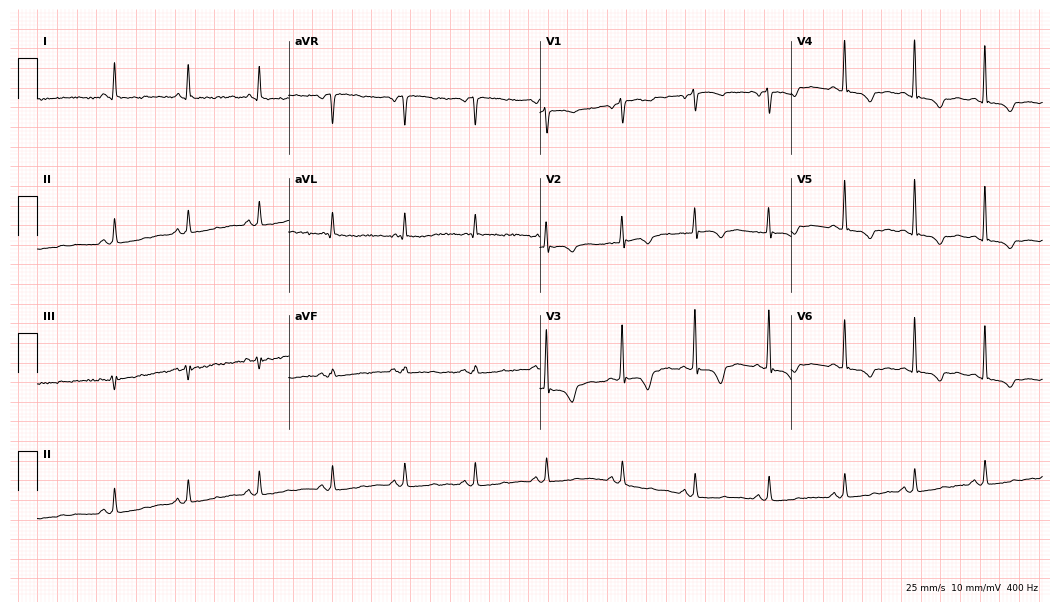
12-lead ECG (10.2-second recording at 400 Hz) from a 53-year-old woman. Screened for six findings — first-degree AV block, right bundle branch block, left bundle branch block, sinus bradycardia, atrial fibrillation, sinus tachycardia — none is recorded.